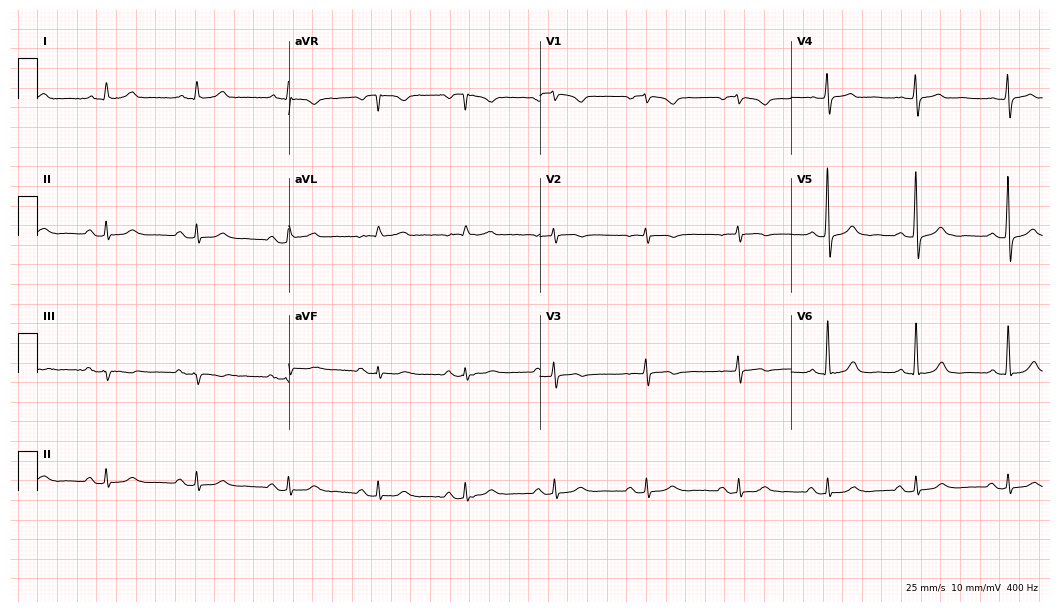
Electrocardiogram, a 76-year-old male patient. Of the six screened findings (first-degree AV block, right bundle branch block (RBBB), left bundle branch block (LBBB), sinus bradycardia, atrial fibrillation (AF), sinus tachycardia), none is recorded. Other findings, if any, are not listed.